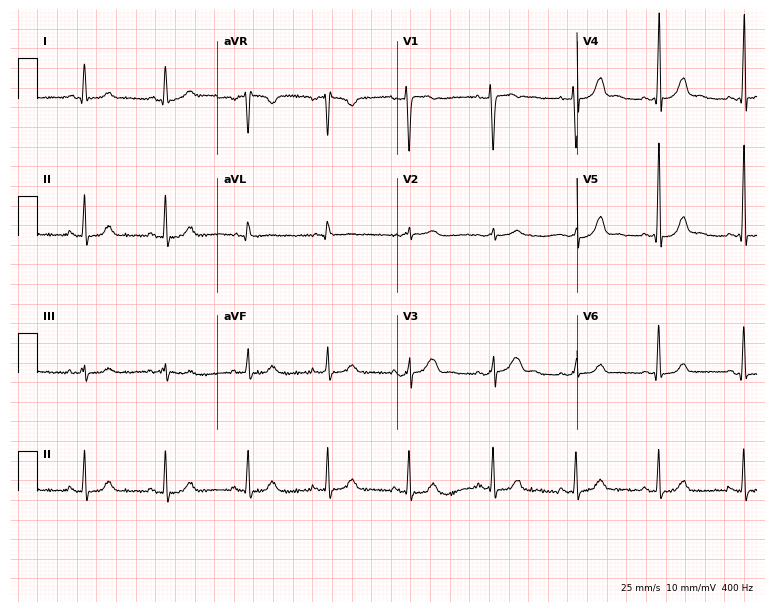
12-lead ECG from a 27-year-old female patient. Labelled as a normal ECG.